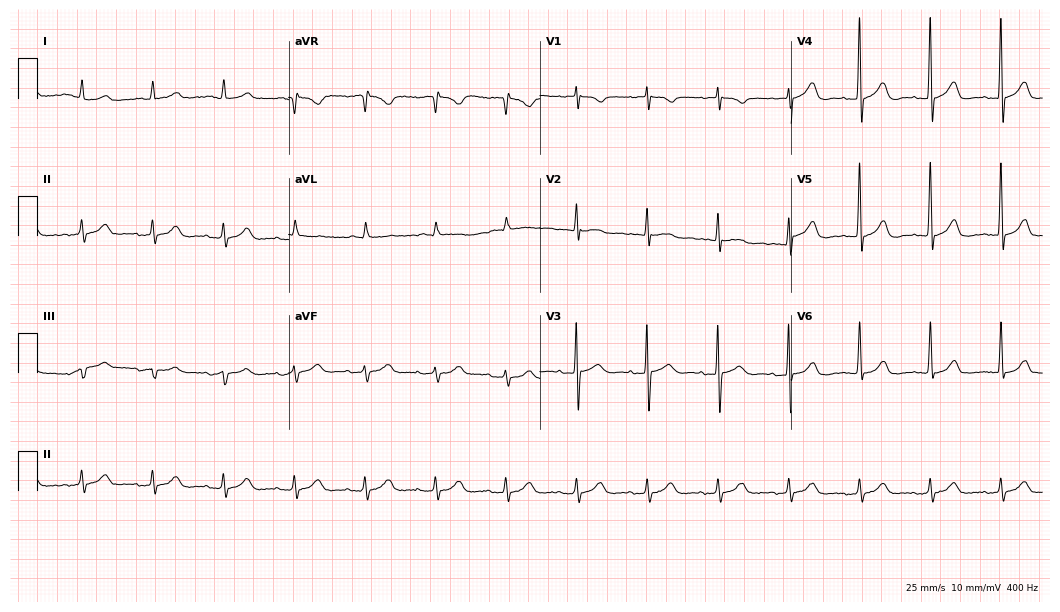
12-lead ECG (10.2-second recording at 400 Hz) from a woman, 83 years old. Labelled as a normal ECG.